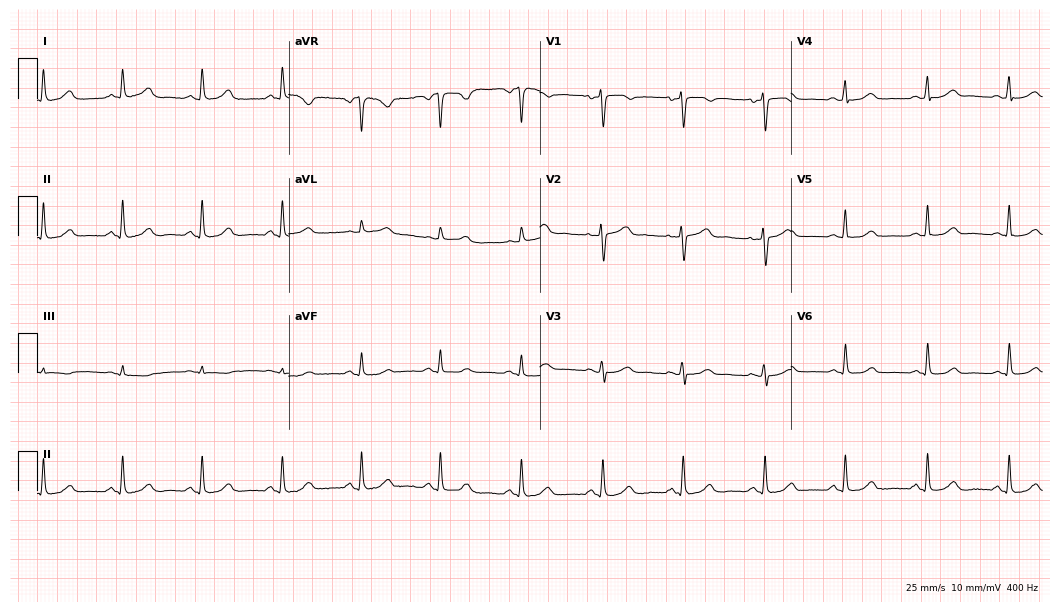
Resting 12-lead electrocardiogram. Patient: a woman, 51 years old. Read as a normal ECG.